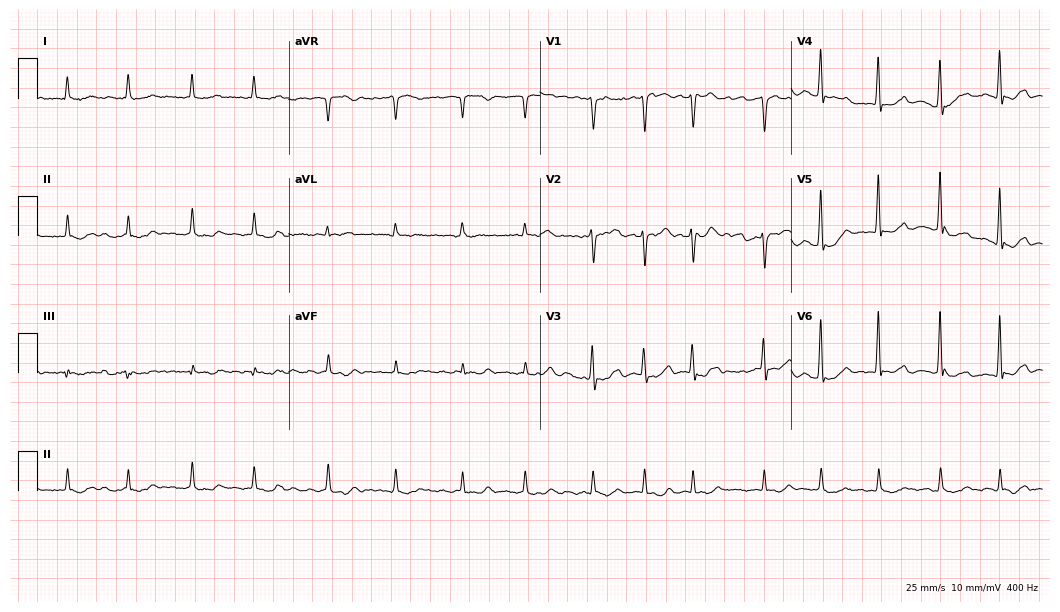
ECG — a 78-year-old male patient. Labelled as a normal ECG.